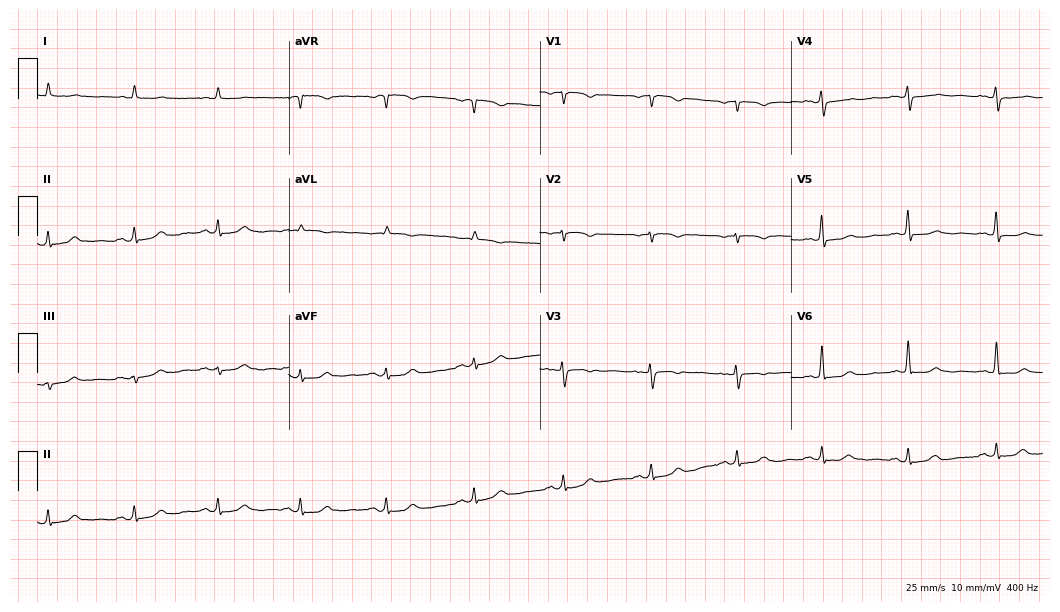
Standard 12-lead ECG recorded from a 69-year-old female patient (10.2-second recording at 400 Hz). None of these six findings is recorded: first-degree AV block, right bundle branch block (RBBB), left bundle branch block (LBBB), sinus bradycardia, atrial fibrillation (AF), sinus tachycardia. Other findings, if any, are not listed.